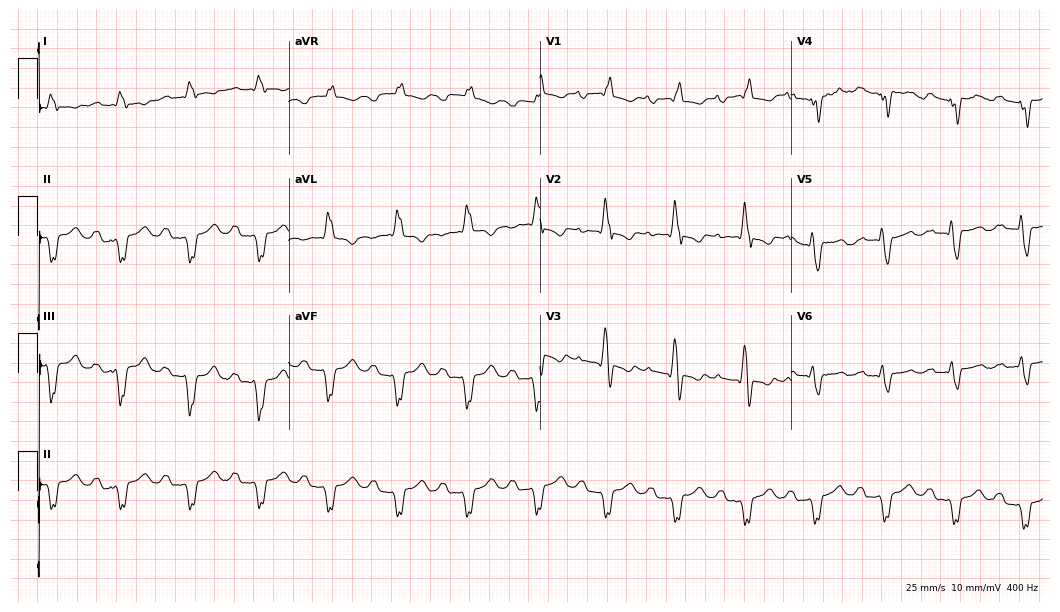
Standard 12-lead ECG recorded from a 52-year-old woman (10.2-second recording at 400 Hz). The tracing shows first-degree AV block, right bundle branch block.